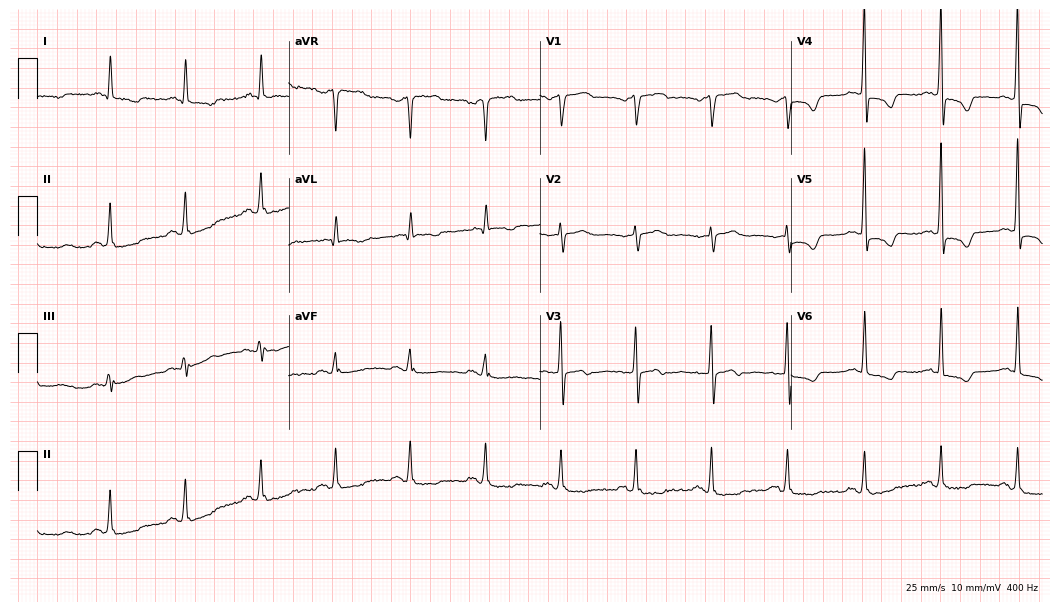
Resting 12-lead electrocardiogram. Patient: a male, 77 years old. None of these six findings is recorded: first-degree AV block, right bundle branch block (RBBB), left bundle branch block (LBBB), sinus bradycardia, atrial fibrillation (AF), sinus tachycardia.